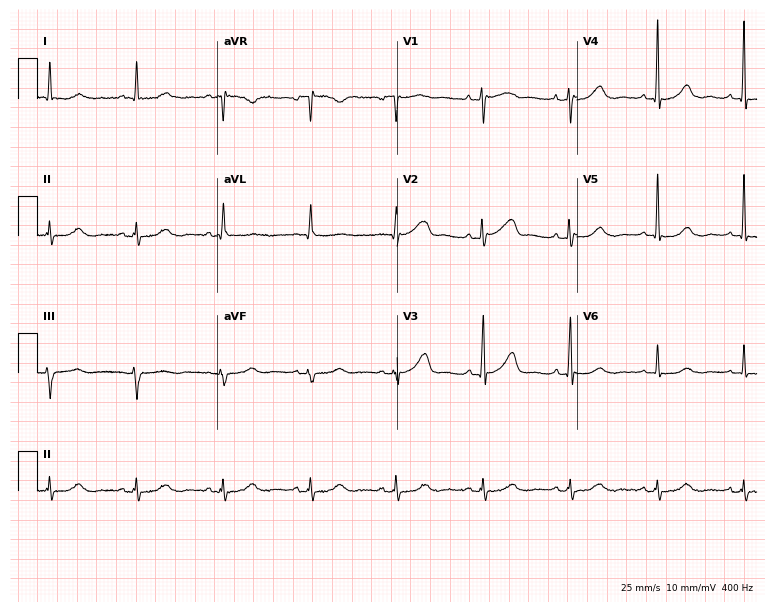
Electrocardiogram (7.3-second recording at 400 Hz), a 67-year-old female. Of the six screened findings (first-degree AV block, right bundle branch block (RBBB), left bundle branch block (LBBB), sinus bradycardia, atrial fibrillation (AF), sinus tachycardia), none is recorded. Findings outside these six are not listed.